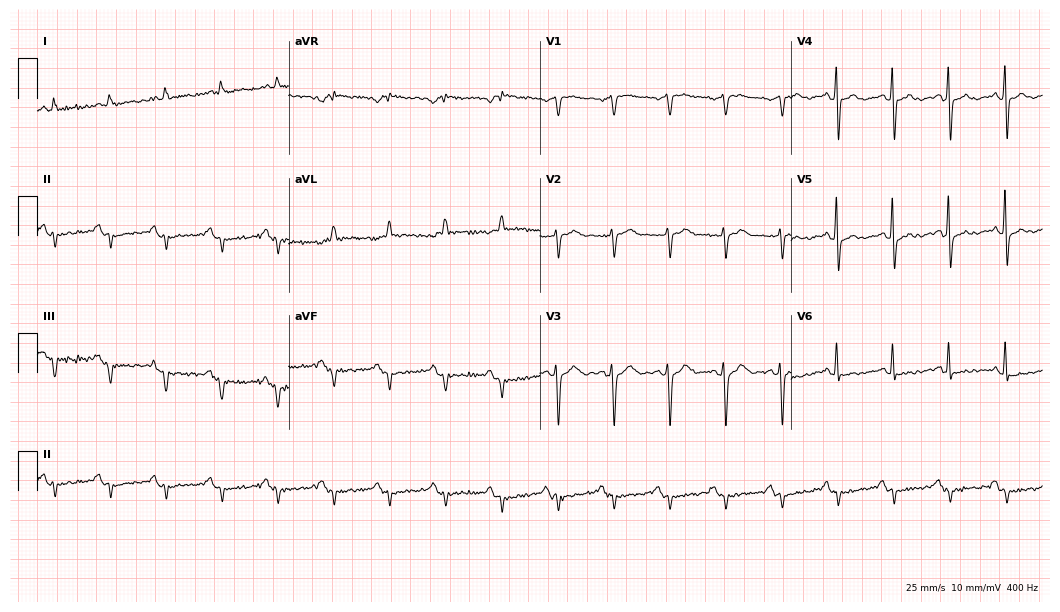
12-lead ECG from a 73-year-old man (10.2-second recording at 400 Hz). Shows sinus tachycardia (a sinus rate of 100 beats per minute or more).